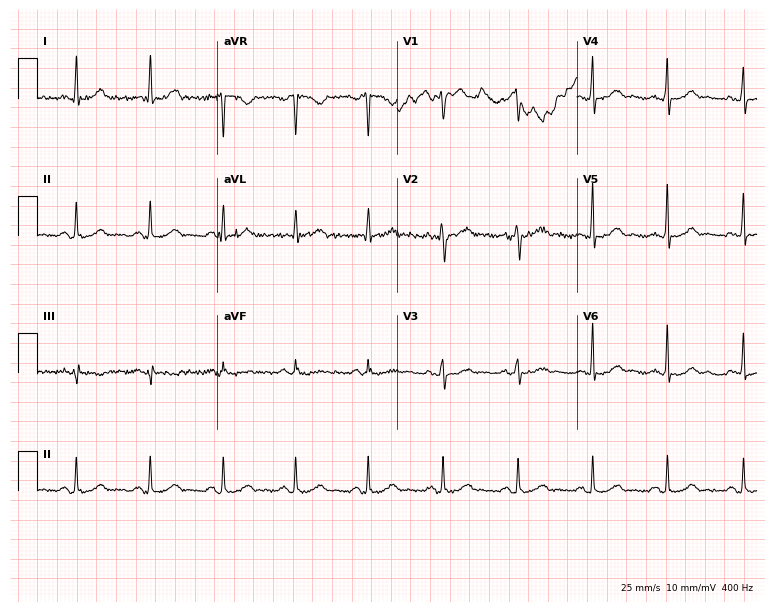
Resting 12-lead electrocardiogram (7.3-second recording at 400 Hz). Patient: a 36-year-old woman. None of these six findings is recorded: first-degree AV block, right bundle branch block (RBBB), left bundle branch block (LBBB), sinus bradycardia, atrial fibrillation (AF), sinus tachycardia.